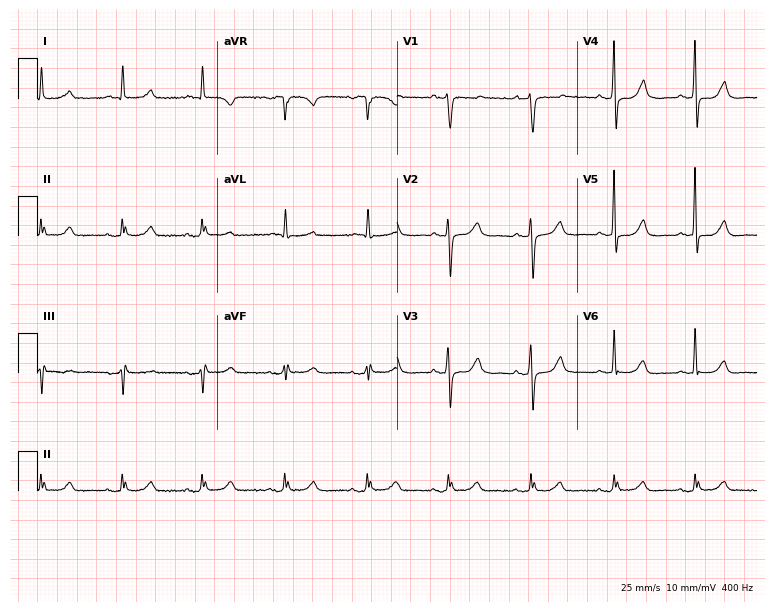
Standard 12-lead ECG recorded from a female, 78 years old (7.3-second recording at 400 Hz). Read as a normal ECG.